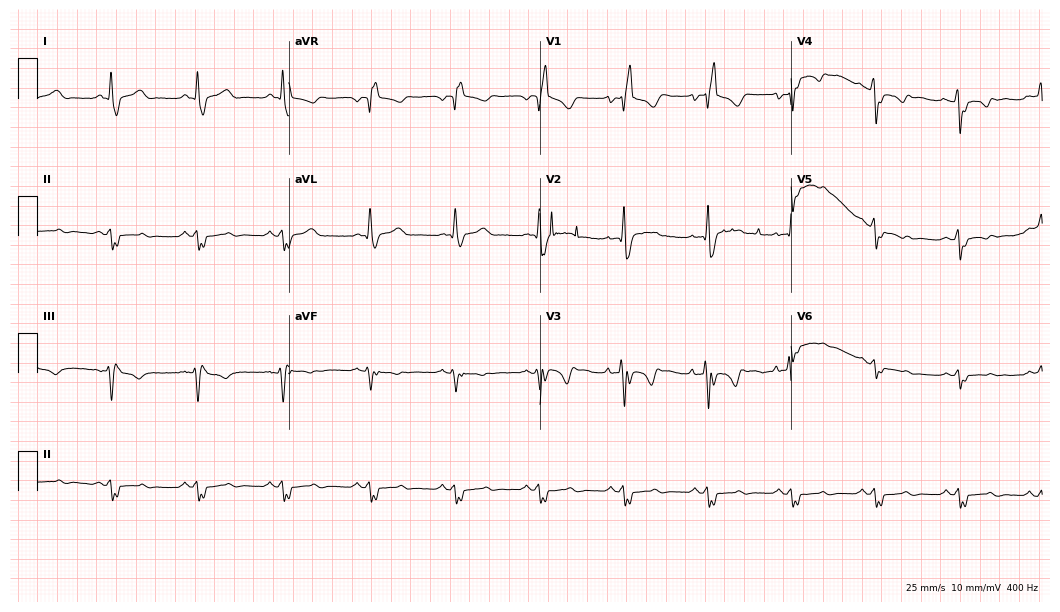
12-lead ECG from a 43-year-old male patient. Shows right bundle branch block.